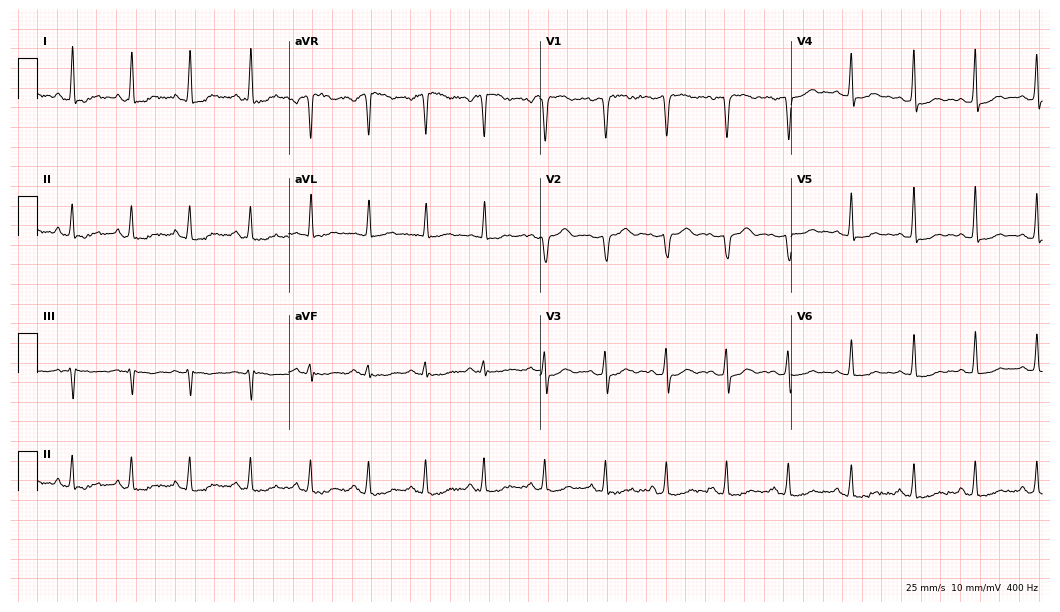
12-lead ECG (10.2-second recording at 400 Hz) from a 43-year-old female patient. Screened for six findings — first-degree AV block, right bundle branch block, left bundle branch block, sinus bradycardia, atrial fibrillation, sinus tachycardia — none is recorded. Other findings, if any, are not listed.